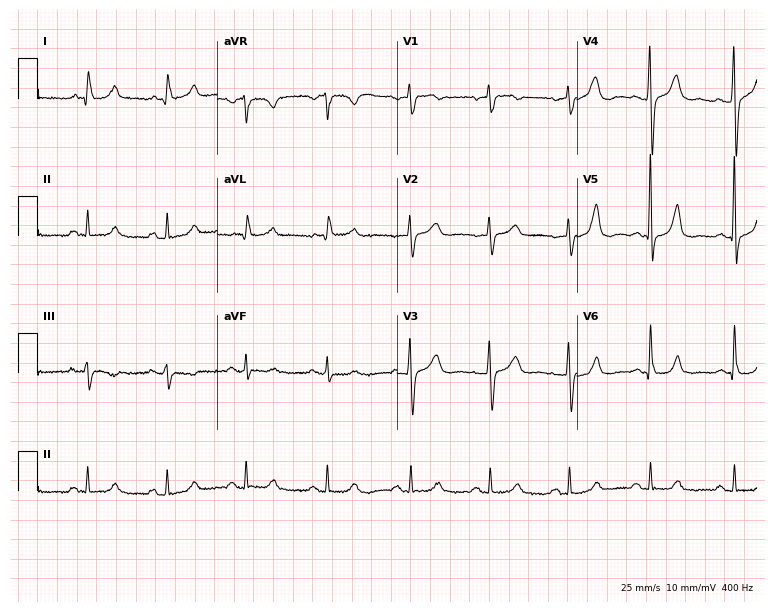
12-lead ECG from a female patient, 60 years old (7.3-second recording at 400 Hz). No first-degree AV block, right bundle branch block, left bundle branch block, sinus bradycardia, atrial fibrillation or sinus tachycardia recorded for this tracing. Only these six findings were labelled.